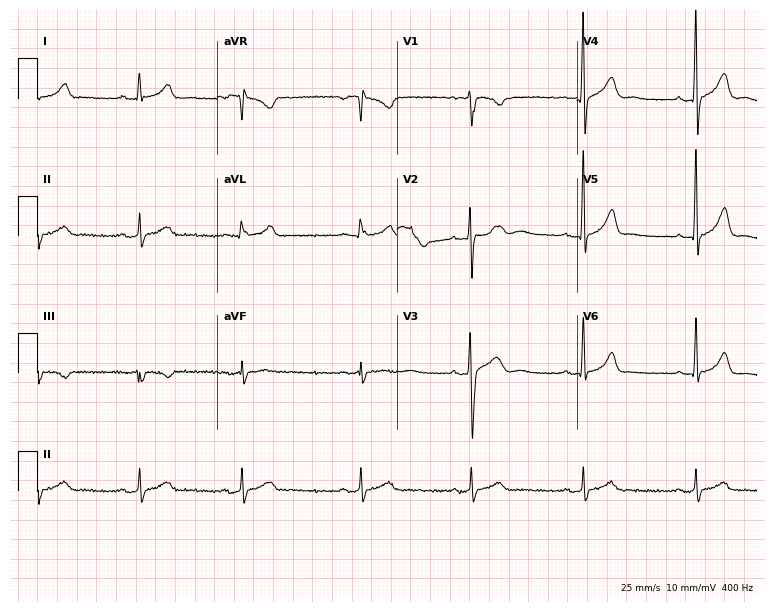
Standard 12-lead ECG recorded from a 34-year-old male. Read as a normal ECG.